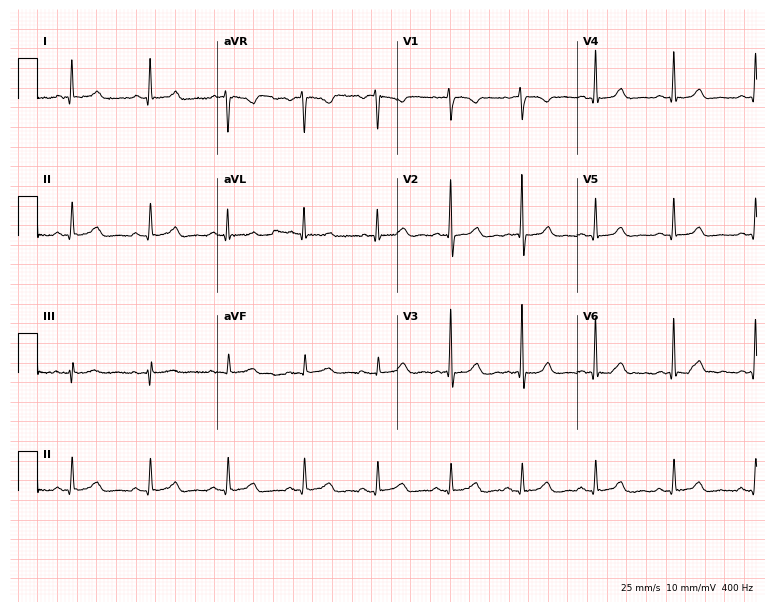
ECG (7.3-second recording at 400 Hz) — a female patient, 50 years old. Labelled as a normal ECG.